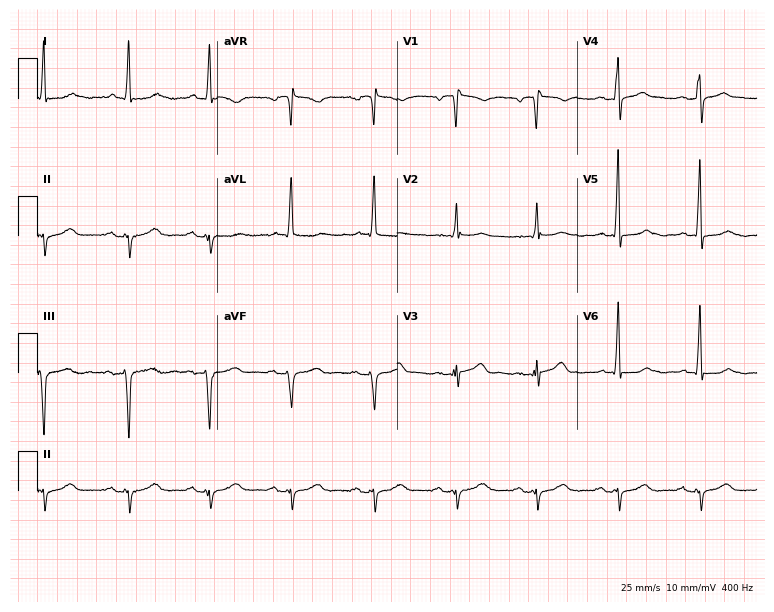
Standard 12-lead ECG recorded from a male patient, 71 years old (7.3-second recording at 400 Hz). None of these six findings is recorded: first-degree AV block, right bundle branch block (RBBB), left bundle branch block (LBBB), sinus bradycardia, atrial fibrillation (AF), sinus tachycardia. Findings outside these six are not listed.